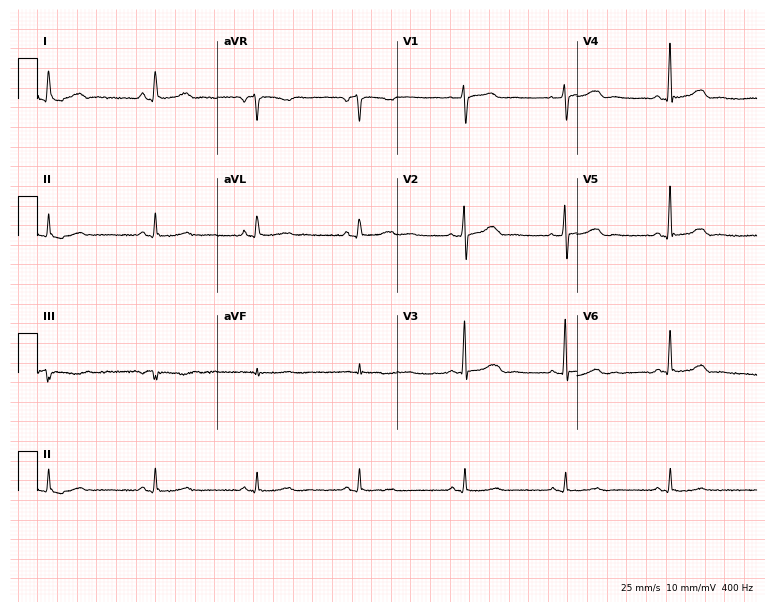
Electrocardiogram (7.3-second recording at 400 Hz), a 46-year-old female patient. Of the six screened findings (first-degree AV block, right bundle branch block, left bundle branch block, sinus bradycardia, atrial fibrillation, sinus tachycardia), none is recorded. Findings outside these six are not listed.